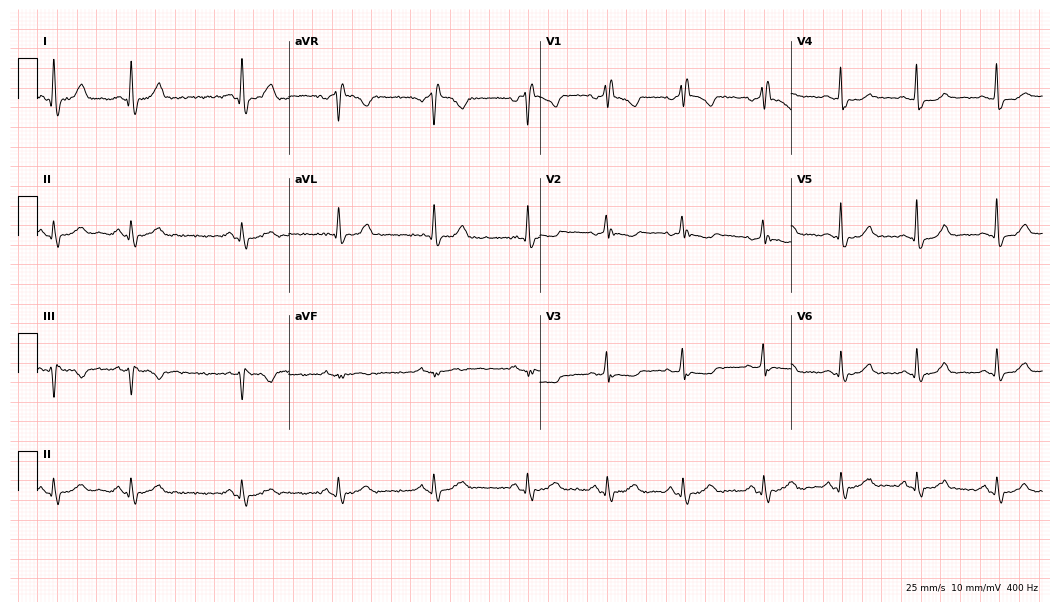
Electrocardiogram (10.2-second recording at 400 Hz), a 53-year-old female. Interpretation includes right bundle branch block.